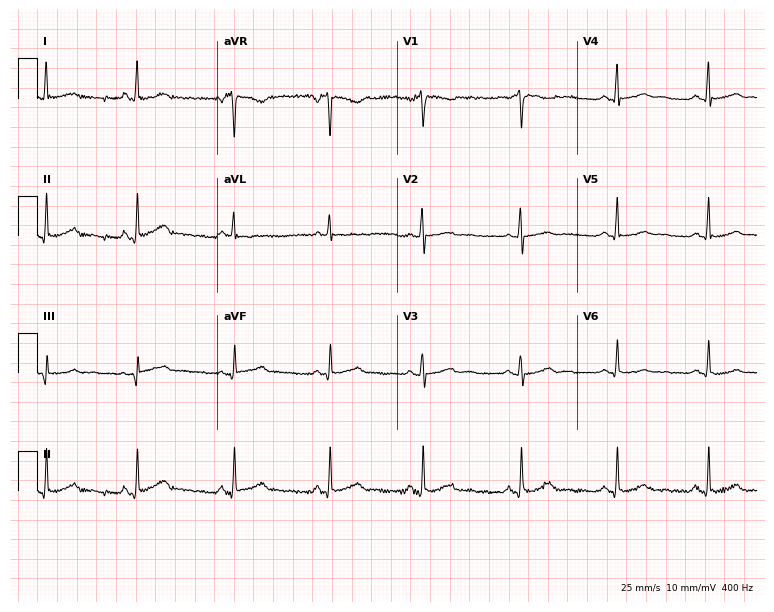
12-lead ECG from a female, 39 years old. Recorded interpretation: within normal limits.